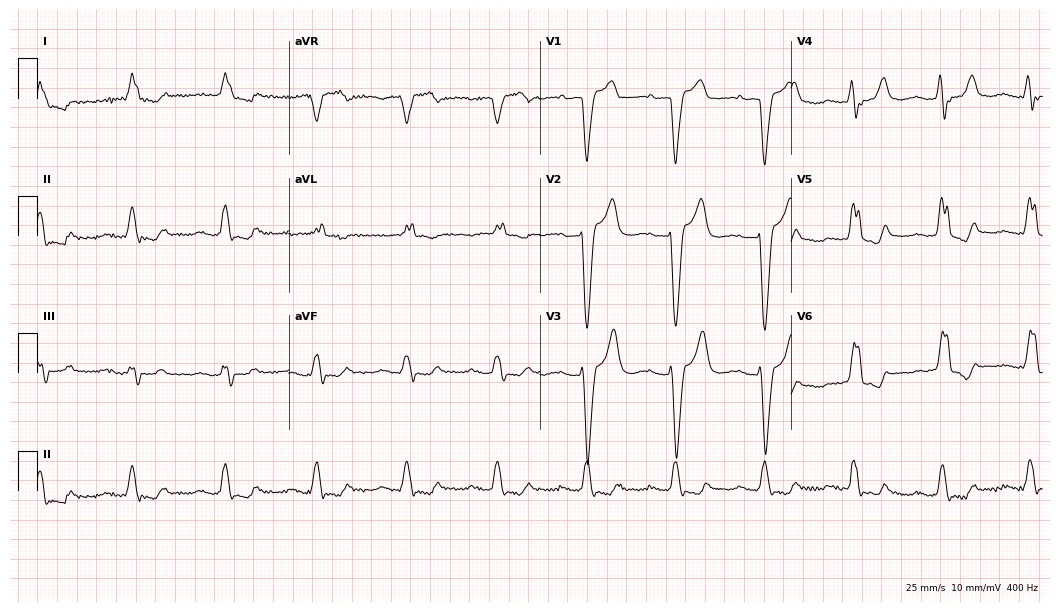
Resting 12-lead electrocardiogram. Patient: a female, 83 years old. The tracing shows first-degree AV block, left bundle branch block.